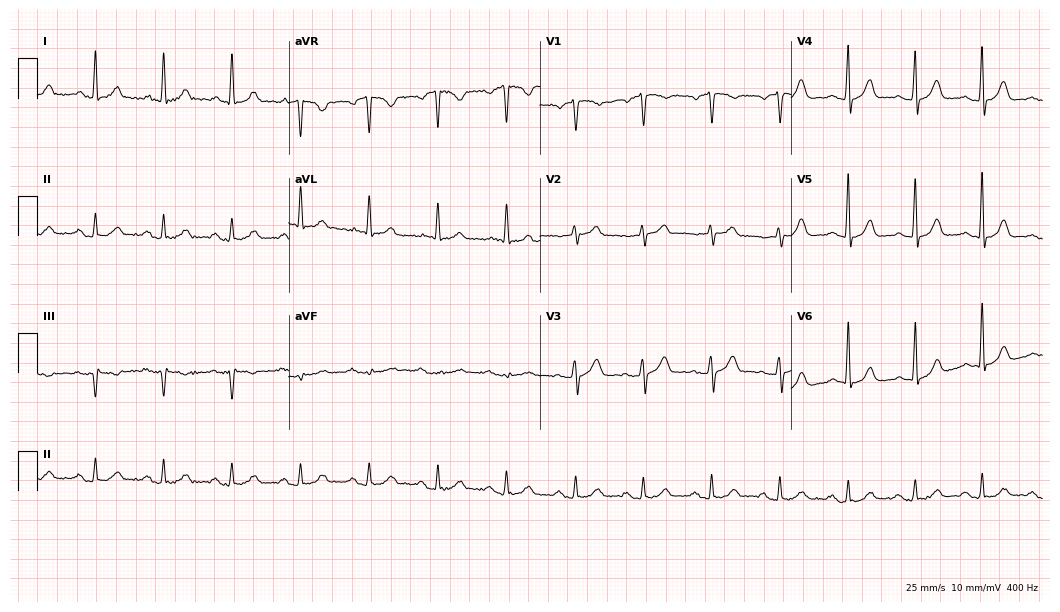
Electrocardiogram (10.2-second recording at 400 Hz), a female patient, 65 years old. Of the six screened findings (first-degree AV block, right bundle branch block, left bundle branch block, sinus bradycardia, atrial fibrillation, sinus tachycardia), none is recorded.